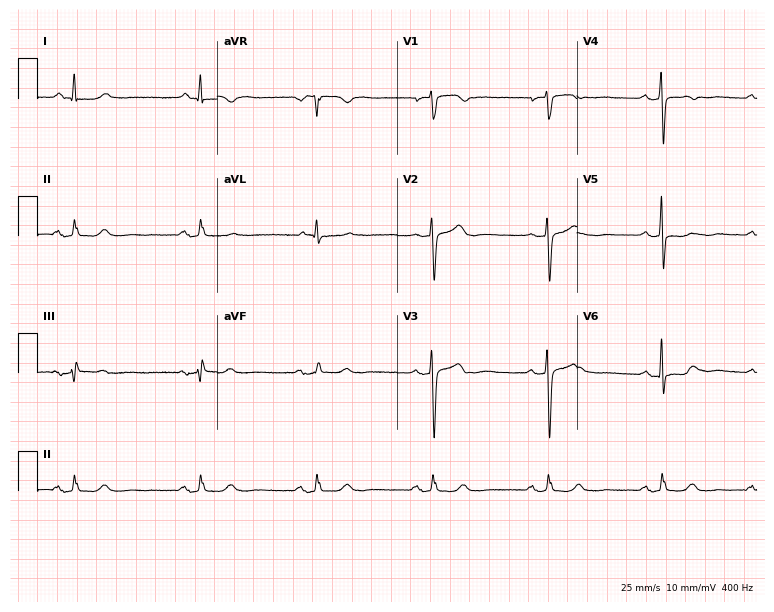
12-lead ECG from a female patient, 67 years old (7.3-second recording at 400 Hz). No first-degree AV block, right bundle branch block, left bundle branch block, sinus bradycardia, atrial fibrillation or sinus tachycardia recorded for this tracing.